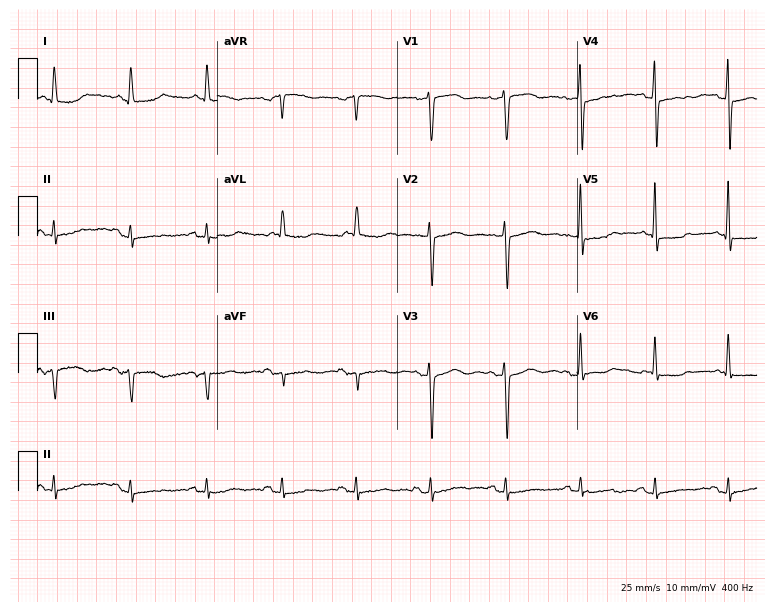
Standard 12-lead ECG recorded from a 77-year-old male patient. None of these six findings is recorded: first-degree AV block, right bundle branch block (RBBB), left bundle branch block (LBBB), sinus bradycardia, atrial fibrillation (AF), sinus tachycardia.